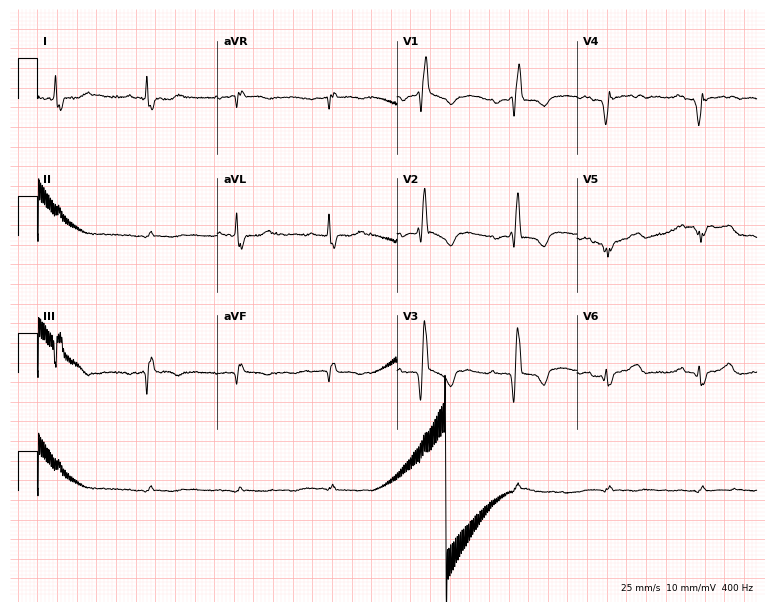
Standard 12-lead ECG recorded from a 74-year-old male patient. None of these six findings is recorded: first-degree AV block, right bundle branch block (RBBB), left bundle branch block (LBBB), sinus bradycardia, atrial fibrillation (AF), sinus tachycardia.